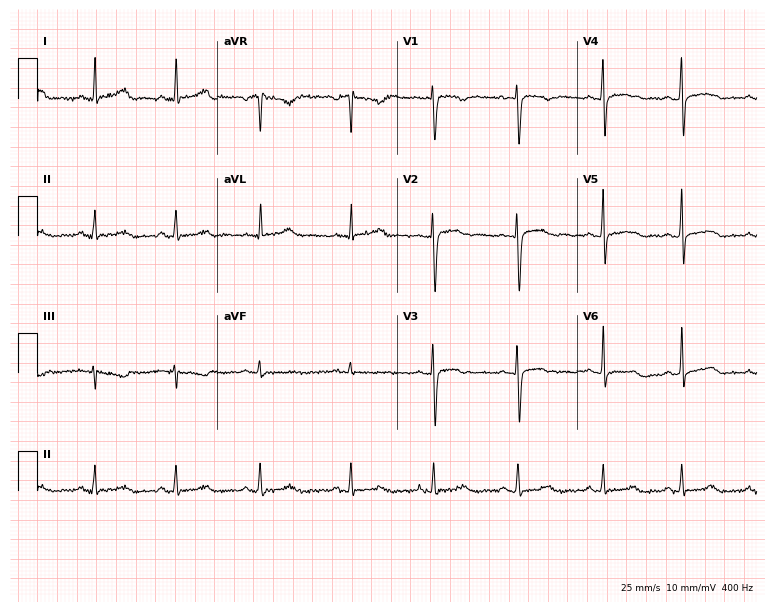
Resting 12-lead electrocardiogram. Patient: a 31-year-old woman. Read as a normal ECG.